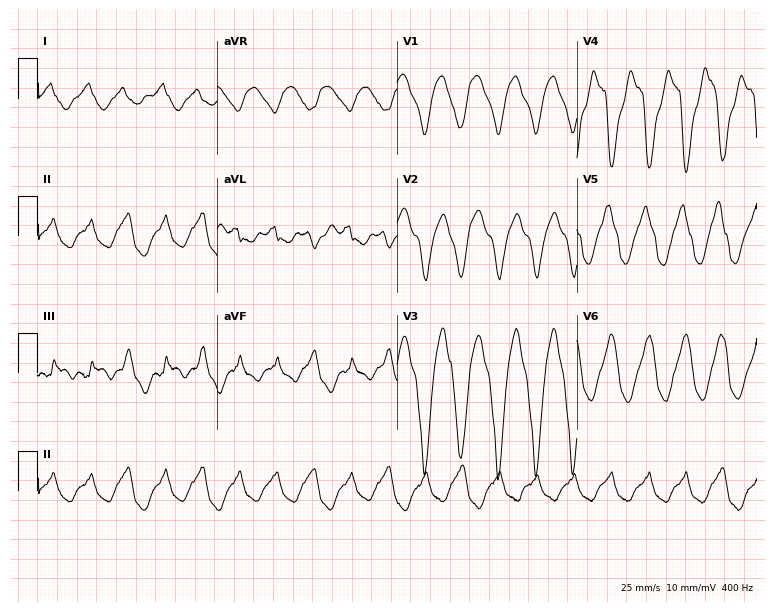
ECG — a 75-year-old man. Findings include atrial fibrillation, sinus tachycardia (a sinus rate of 100 beats per minute or more).